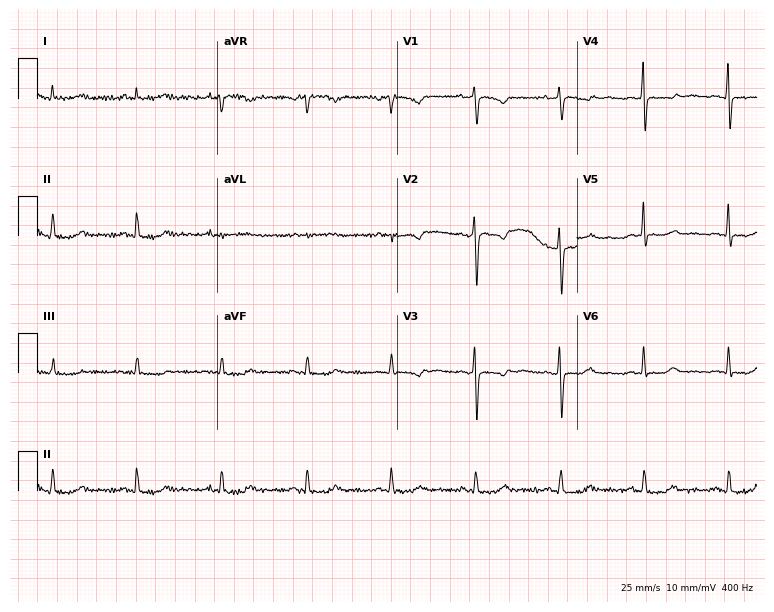
Resting 12-lead electrocardiogram (7.3-second recording at 400 Hz). Patient: a 57-year-old female. None of these six findings is recorded: first-degree AV block, right bundle branch block, left bundle branch block, sinus bradycardia, atrial fibrillation, sinus tachycardia. Other findings, if any, are not listed.